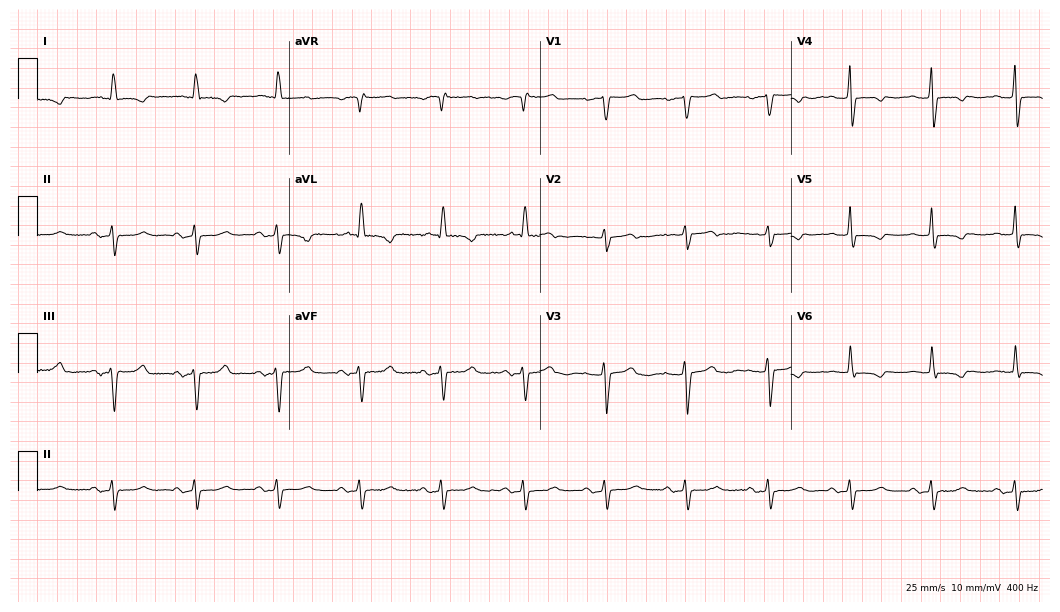
ECG — a 69-year-old female patient. Screened for six findings — first-degree AV block, right bundle branch block, left bundle branch block, sinus bradycardia, atrial fibrillation, sinus tachycardia — none is recorded. Findings outside these six are not listed.